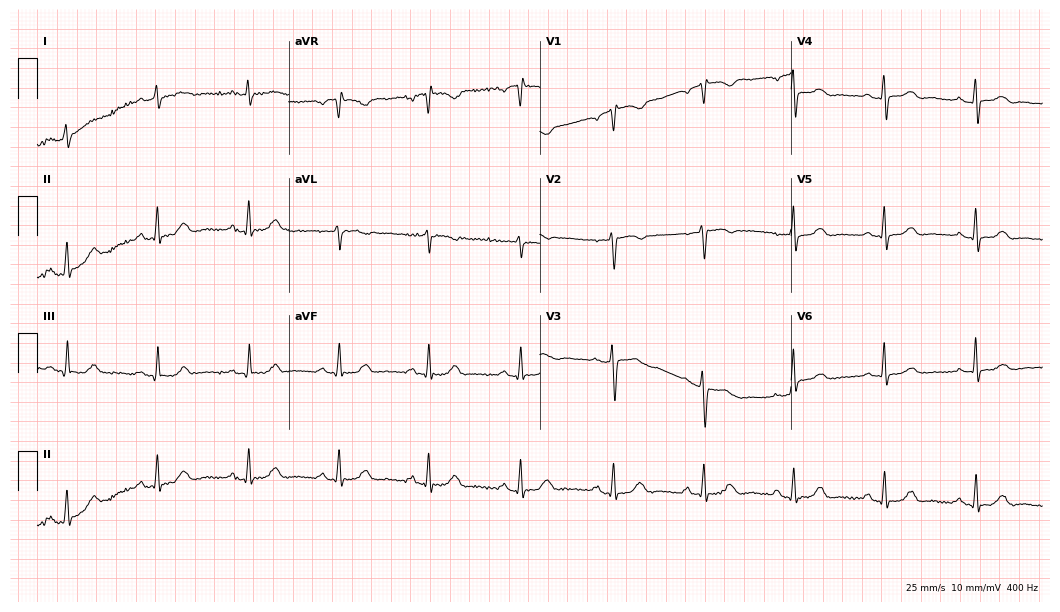
ECG (10.2-second recording at 400 Hz) — a female, 58 years old. Labelled as a normal ECG.